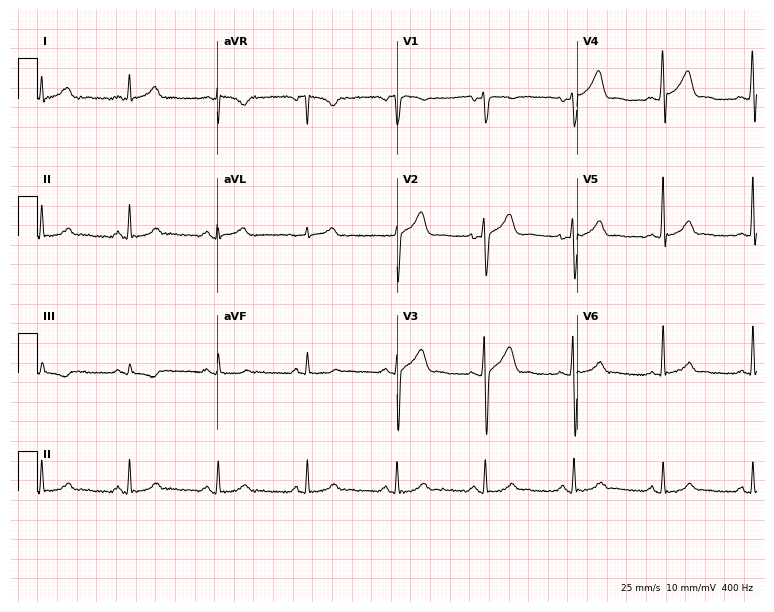
Standard 12-lead ECG recorded from a 35-year-old man (7.3-second recording at 400 Hz). None of these six findings is recorded: first-degree AV block, right bundle branch block, left bundle branch block, sinus bradycardia, atrial fibrillation, sinus tachycardia.